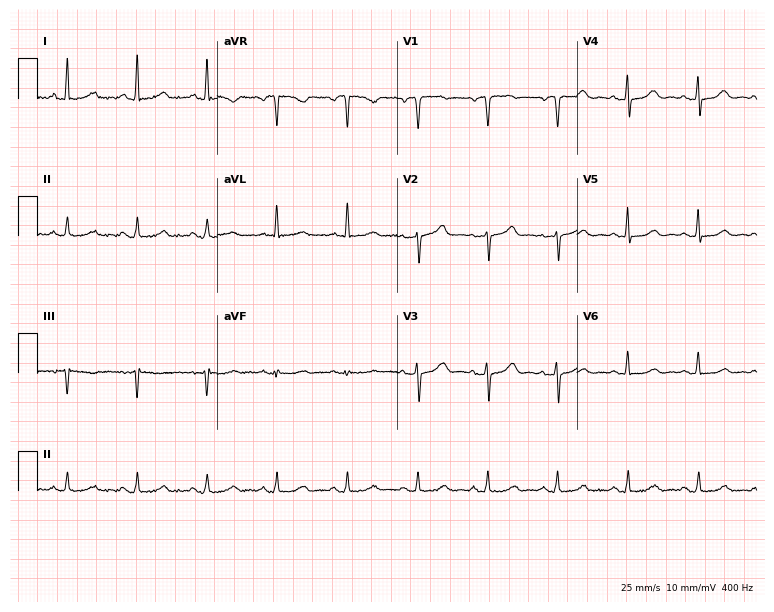
Standard 12-lead ECG recorded from a woman, 65 years old (7.3-second recording at 400 Hz). Read as a normal ECG.